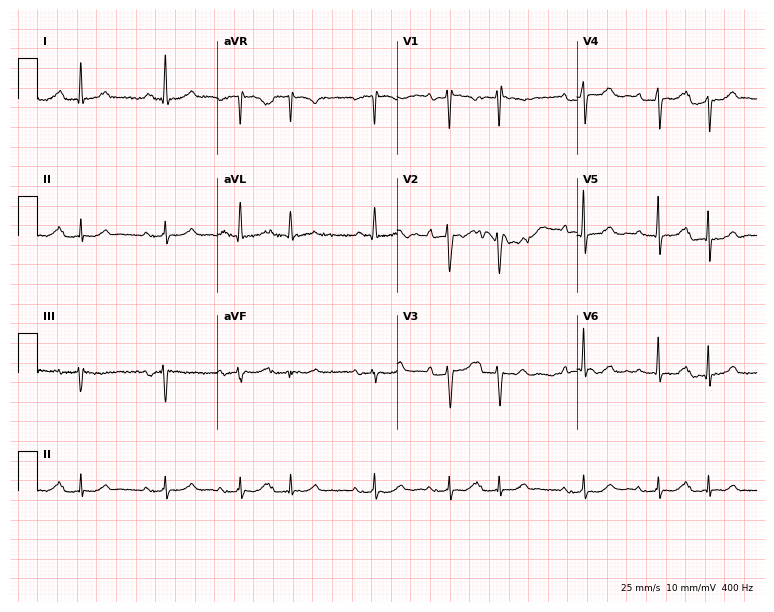
Standard 12-lead ECG recorded from a man, 66 years old (7.3-second recording at 400 Hz). None of these six findings is recorded: first-degree AV block, right bundle branch block, left bundle branch block, sinus bradycardia, atrial fibrillation, sinus tachycardia. Findings outside these six are not listed.